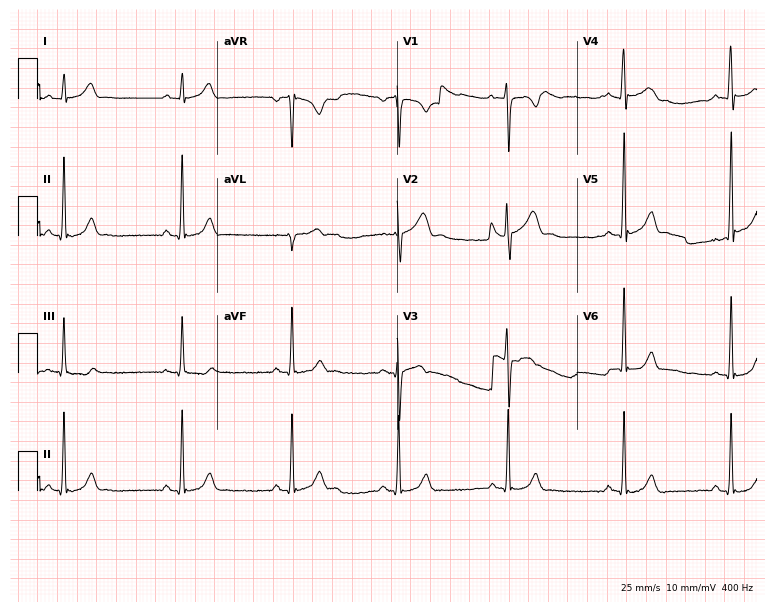
12-lead ECG from a 17-year-old male patient. Recorded interpretation: within normal limits.